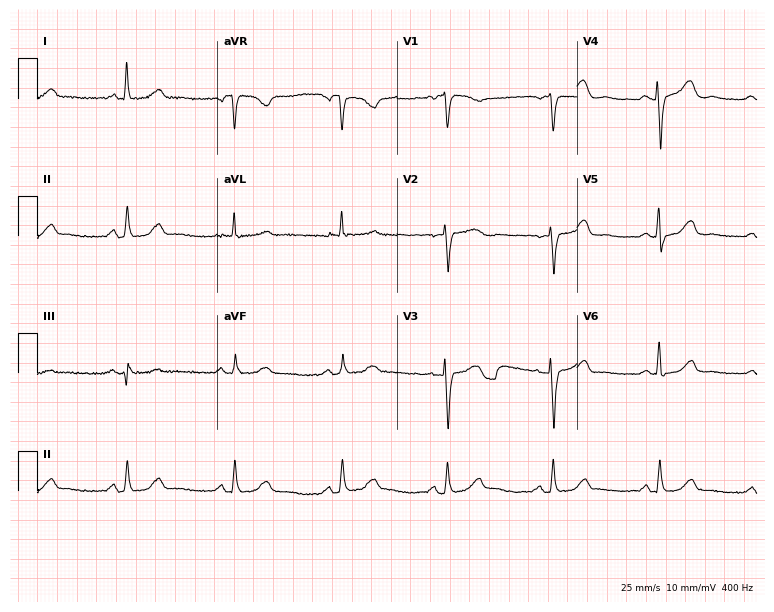
Standard 12-lead ECG recorded from a woman, 65 years old. Read as a normal ECG.